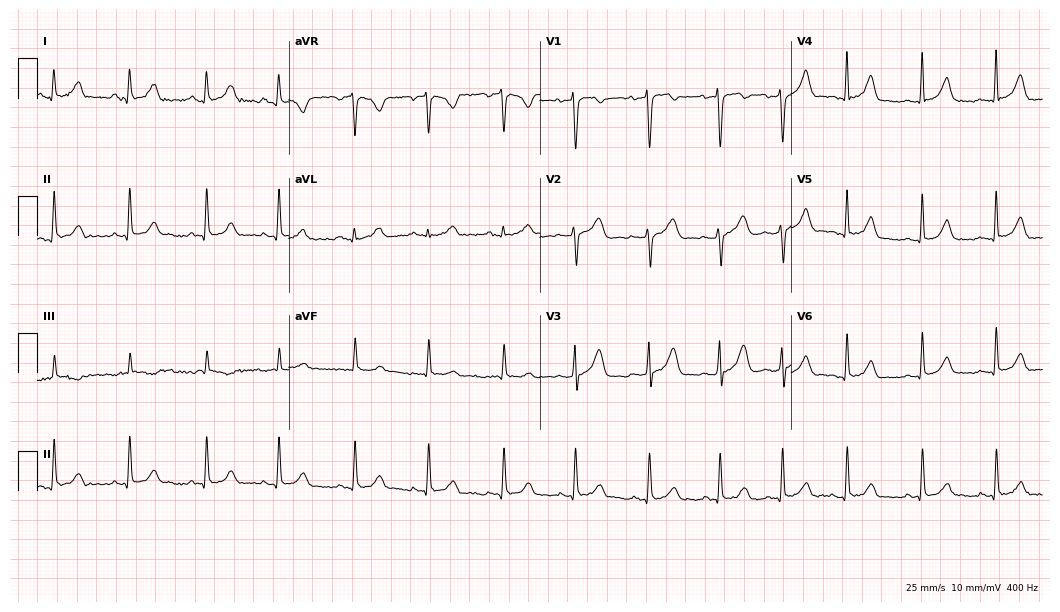
Standard 12-lead ECG recorded from a female, 30 years old. Read as a normal ECG.